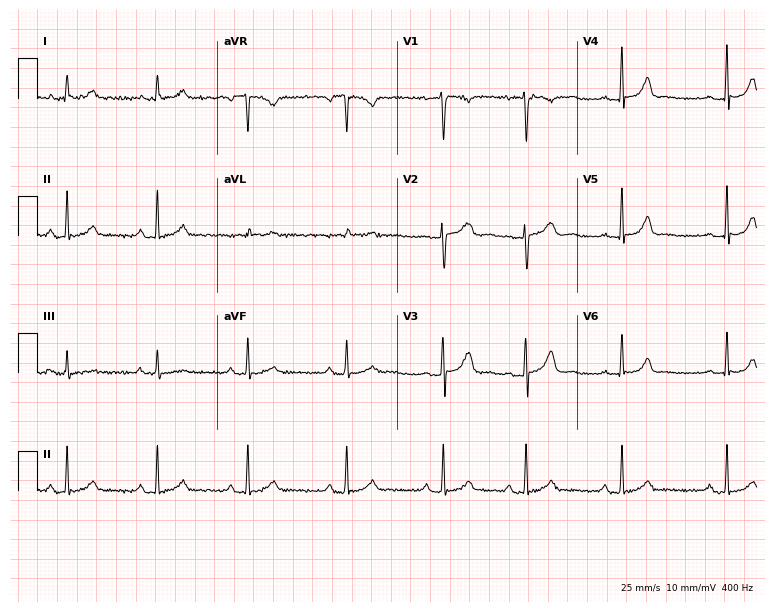
ECG — a woman, 23 years old. Labelled as a normal ECG.